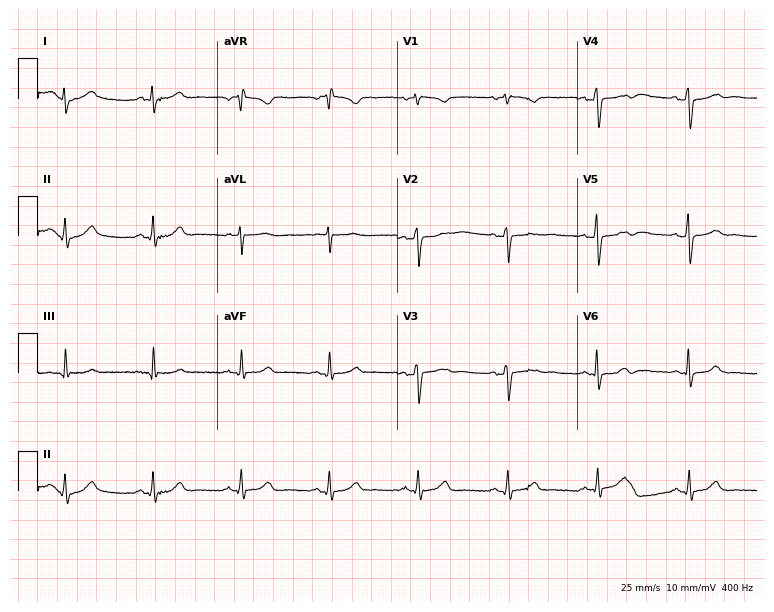
Electrocardiogram (7.3-second recording at 400 Hz), a male patient, 65 years old. Of the six screened findings (first-degree AV block, right bundle branch block, left bundle branch block, sinus bradycardia, atrial fibrillation, sinus tachycardia), none is recorded.